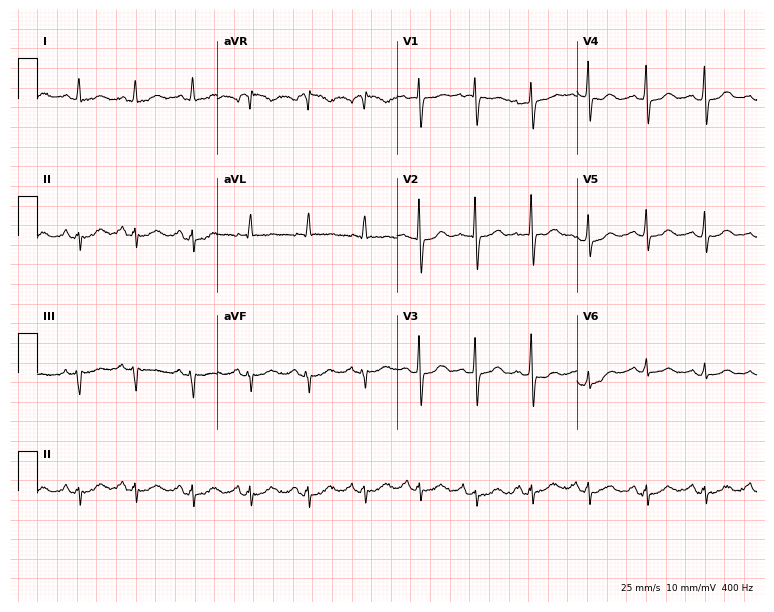
12-lead ECG from a female, 58 years old (7.3-second recording at 400 Hz). Shows sinus tachycardia (a sinus rate of 100 beats per minute or more).